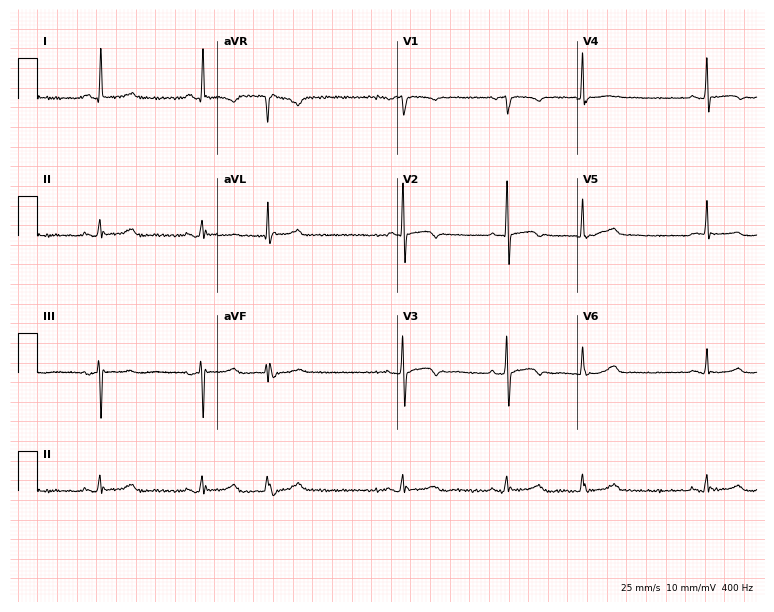
ECG (7.3-second recording at 400 Hz) — a female patient, 63 years old. Screened for six findings — first-degree AV block, right bundle branch block, left bundle branch block, sinus bradycardia, atrial fibrillation, sinus tachycardia — none is recorded.